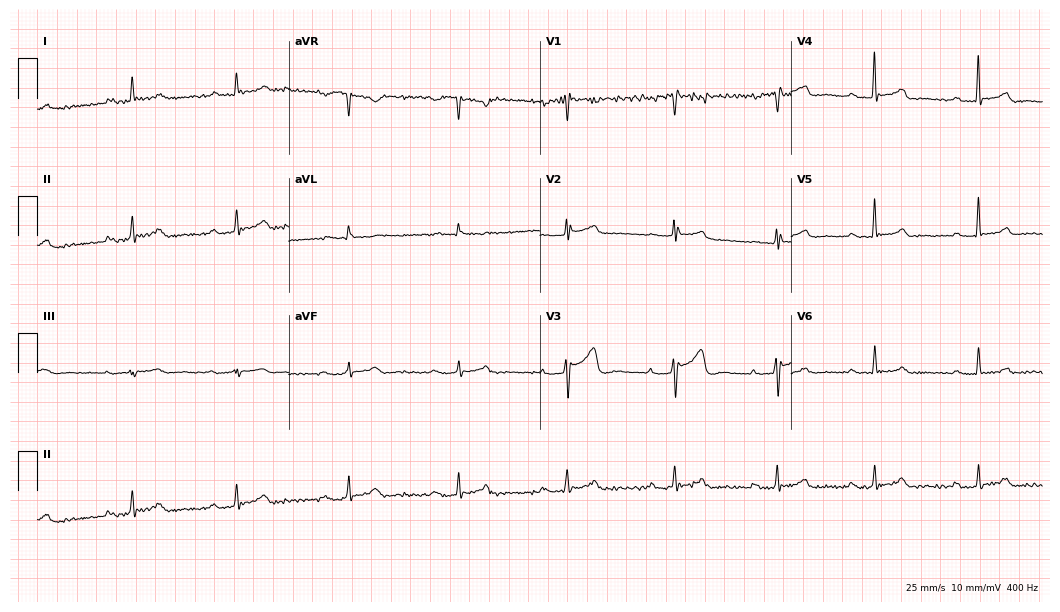
Electrocardiogram (10.2-second recording at 400 Hz), a 71-year-old female patient. Interpretation includes first-degree AV block.